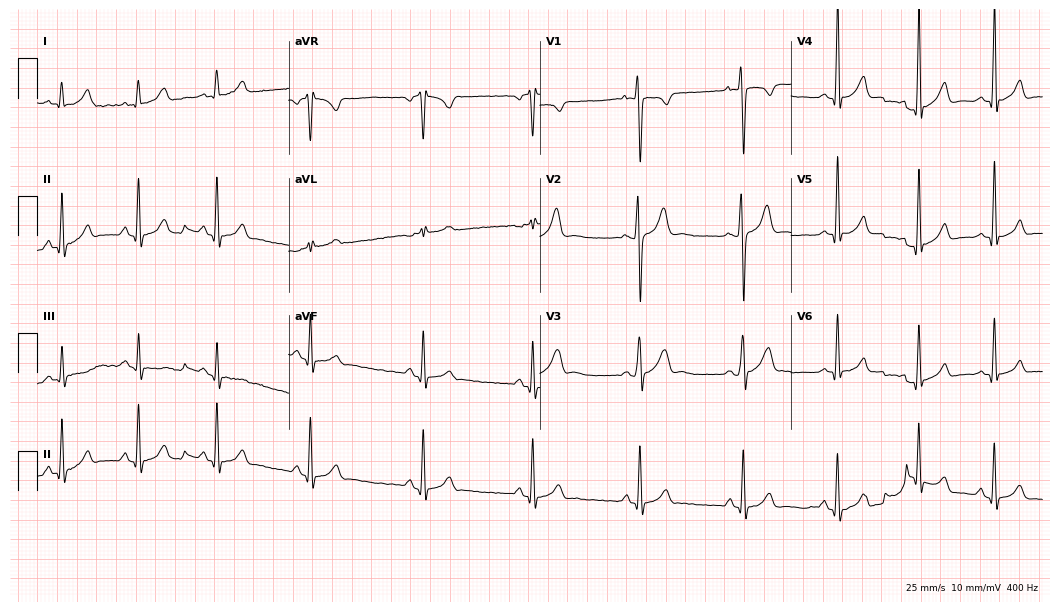
Standard 12-lead ECG recorded from a 21-year-old male patient. None of these six findings is recorded: first-degree AV block, right bundle branch block, left bundle branch block, sinus bradycardia, atrial fibrillation, sinus tachycardia. Only these six findings were labelled.